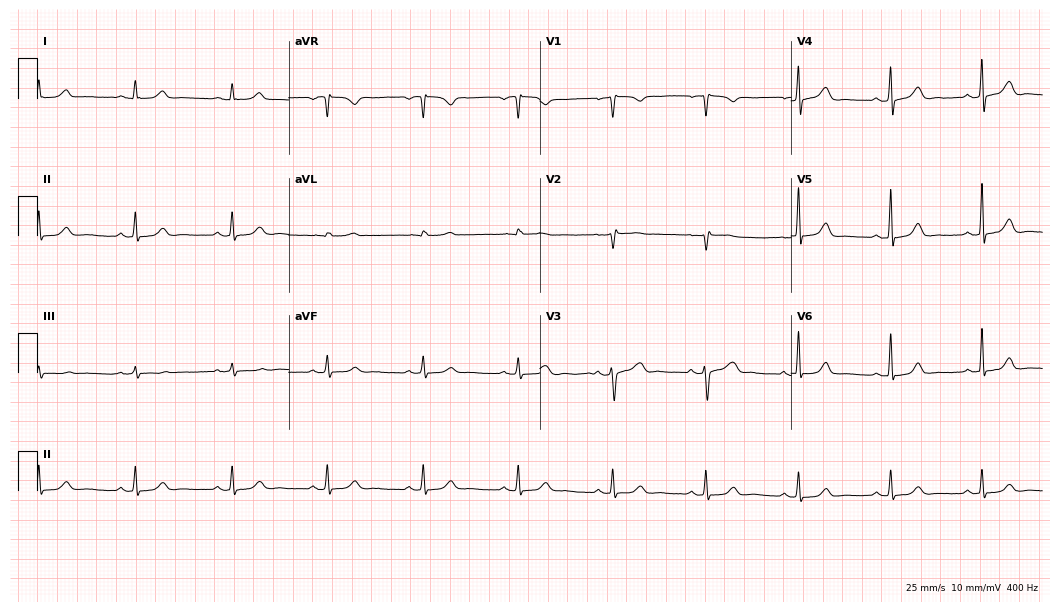
12-lead ECG (10.2-second recording at 400 Hz) from a female, 45 years old. Screened for six findings — first-degree AV block, right bundle branch block, left bundle branch block, sinus bradycardia, atrial fibrillation, sinus tachycardia — none is recorded. Findings outside these six are not listed.